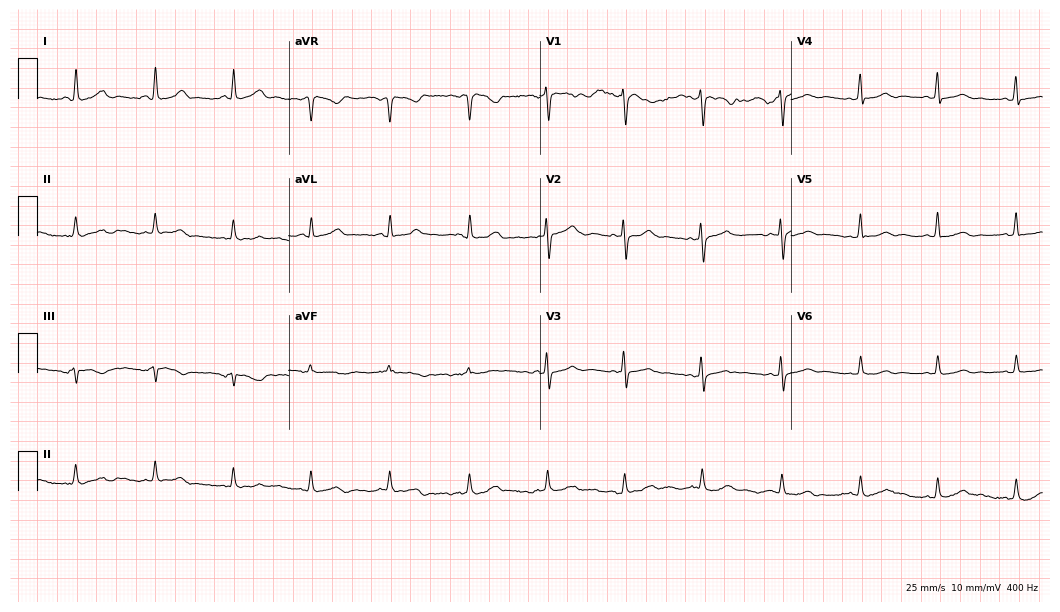
Resting 12-lead electrocardiogram (10.2-second recording at 400 Hz). Patient: a 43-year-old female. Read as a normal ECG.